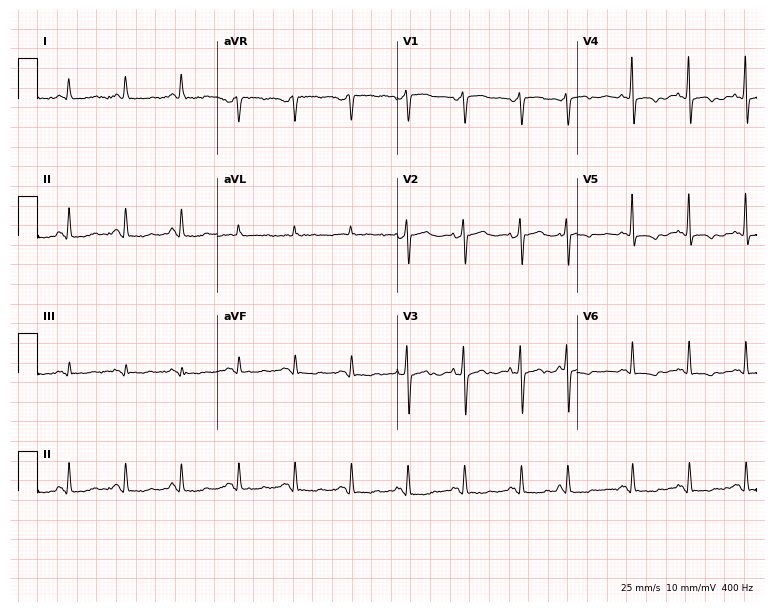
Electrocardiogram (7.3-second recording at 400 Hz), a female, 67 years old. Of the six screened findings (first-degree AV block, right bundle branch block, left bundle branch block, sinus bradycardia, atrial fibrillation, sinus tachycardia), none is recorded. Other findings, if any, are not listed.